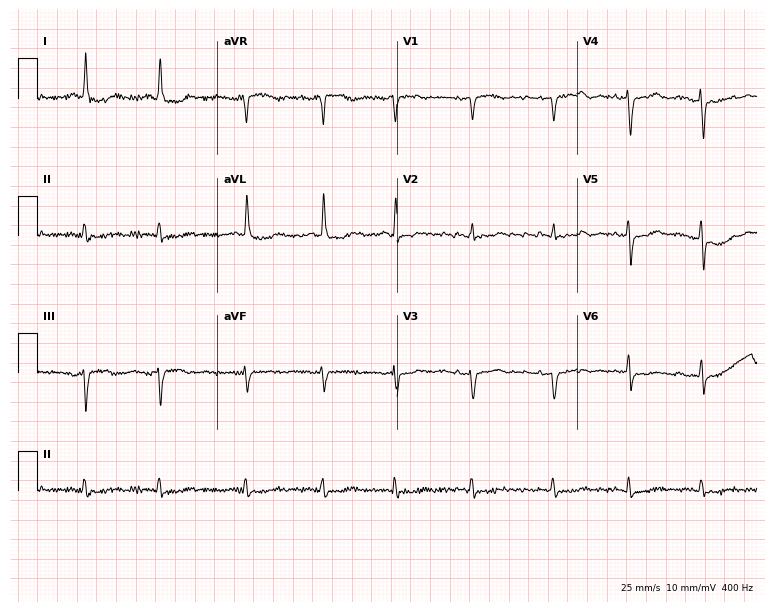
Standard 12-lead ECG recorded from a 73-year-old female. None of these six findings is recorded: first-degree AV block, right bundle branch block (RBBB), left bundle branch block (LBBB), sinus bradycardia, atrial fibrillation (AF), sinus tachycardia.